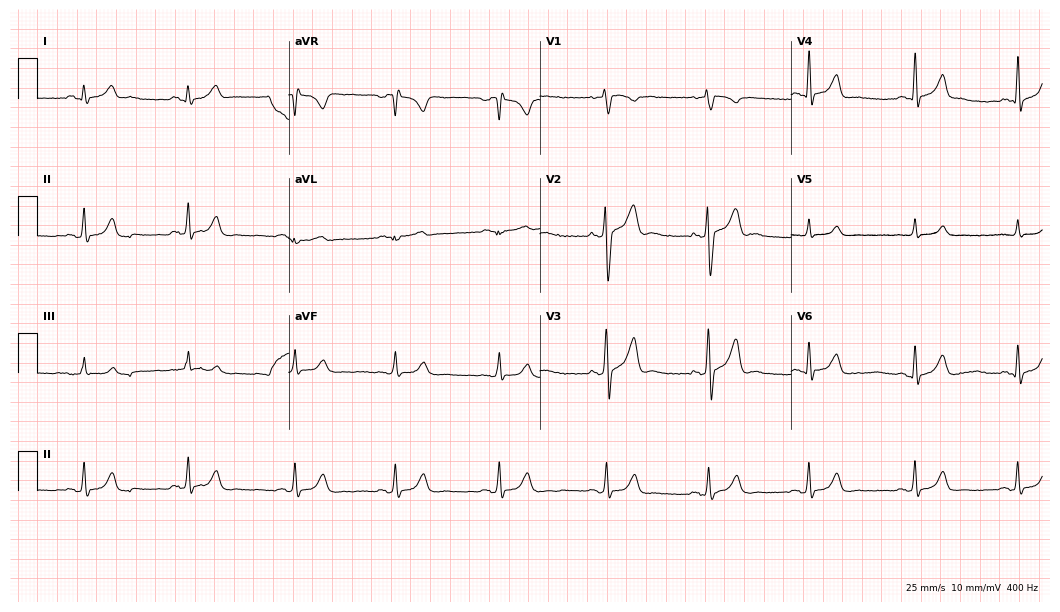
12-lead ECG from a 32-year-old female patient. Recorded interpretation: within normal limits.